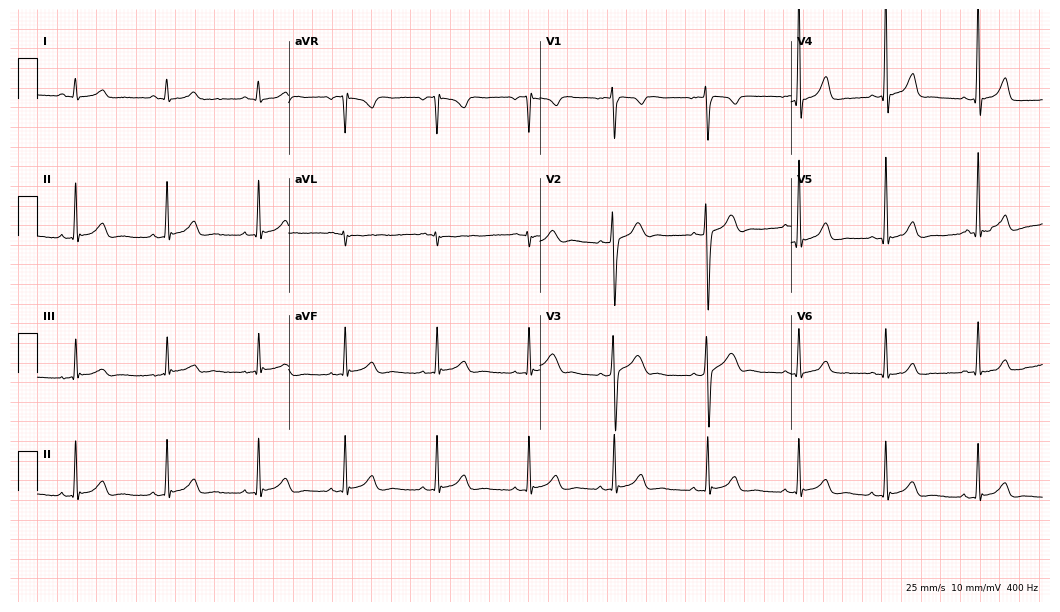
Electrocardiogram, a 19-year-old male. Overall reading on record: normal ECG.